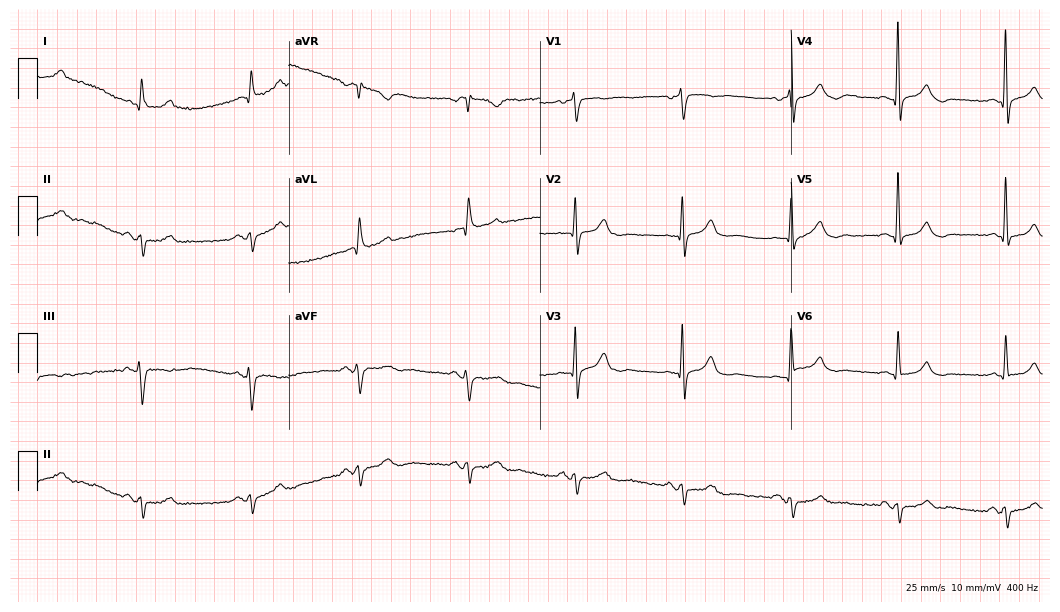
Electrocardiogram (10.2-second recording at 400 Hz), a 72-year-old male patient. Of the six screened findings (first-degree AV block, right bundle branch block, left bundle branch block, sinus bradycardia, atrial fibrillation, sinus tachycardia), none is recorded. Findings outside these six are not listed.